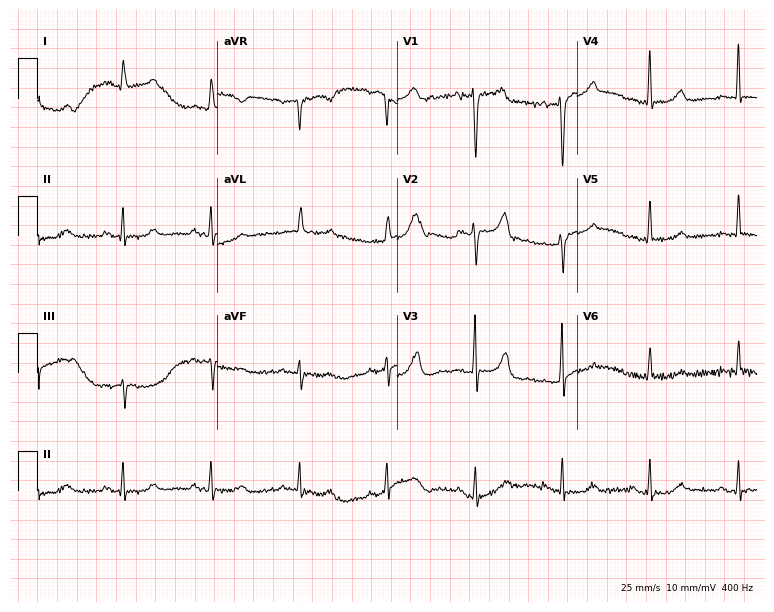
ECG — an 82-year-old woman. Screened for six findings — first-degree AV block, right bundle branch block, left bundle branch block, sinus bradycardia, atrial fibrillation, sinus tachycardia — none is recorded.